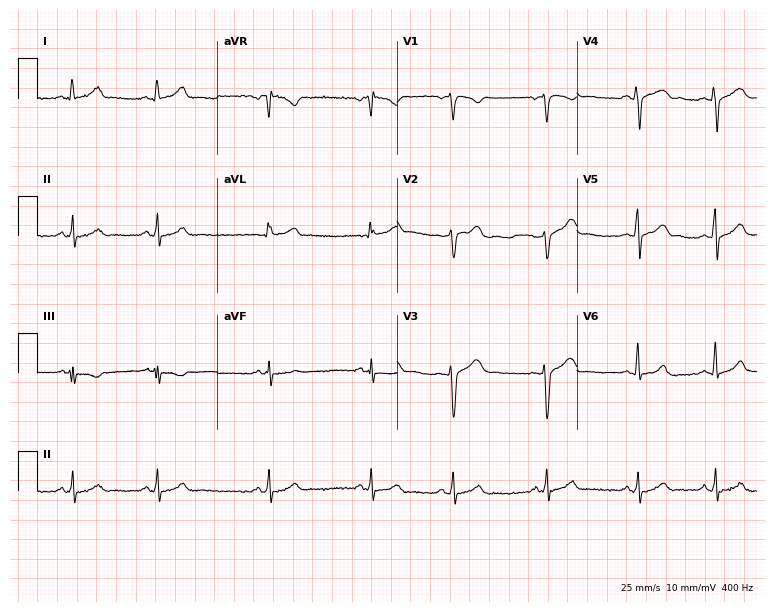
Electrocardiogram (7.3-second recording at 400 Hz), a 32-year-old woman. Overall reading on record: normal ECG.